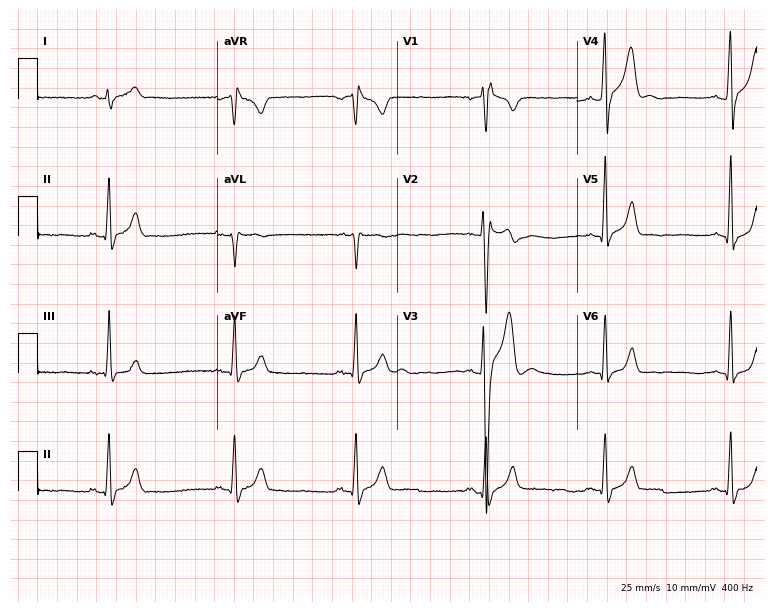
Resting 12-lead electrocardiogram (7.3-second recording at 400 Hz). Patient: a 23-year-old male. The tracing shows right bundle branch block, sinus bradycardia (a sinus rate of 50 beats per minute or less).